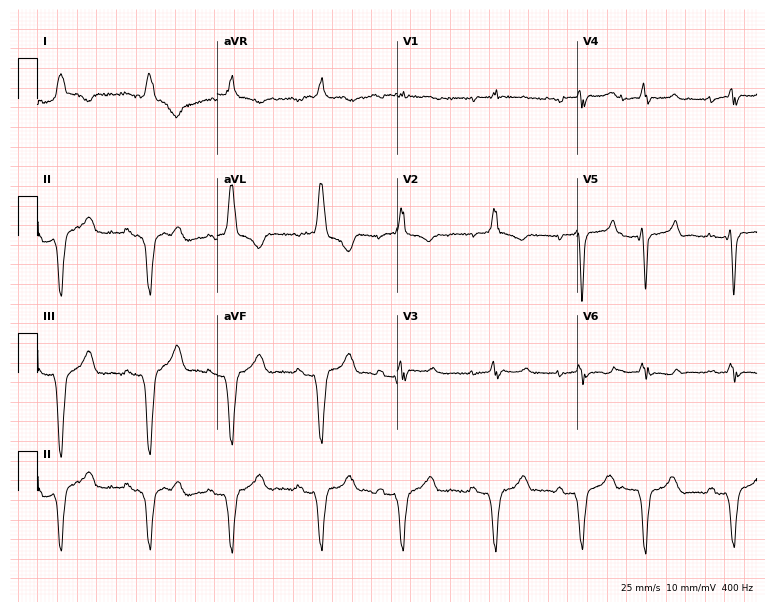
Standard 12-lead ECG recorded from a male, 77 years old. None of these six findings is recorded: first-degree AV block, right bundle branch block, left bundle branch block, sinus bradycardia, atrial fibrillation, sinus tachycardia. Other findings, if any, are not listed.